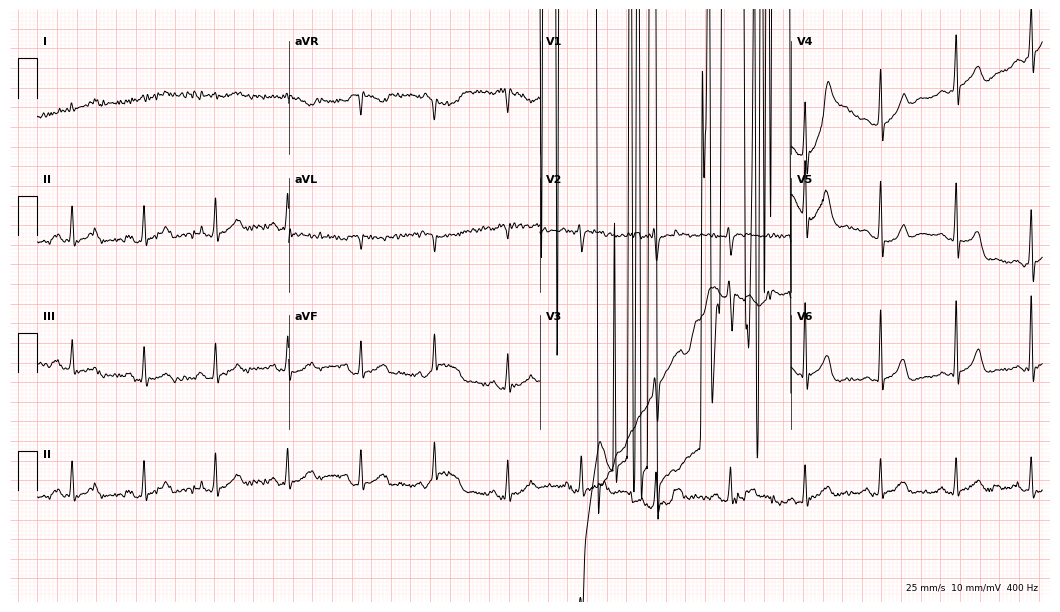
Resting 12-lead electrocardiogram (10.2-second recording at 400 Hz). Patient: a male, 65 years old. None of these six findings is recorded: first-degree AV block, right bundle branch block, left bundle branch block, sinus bradycardia, atrial fibrillation, sinus tachycardia. Only these six findings were labelled.